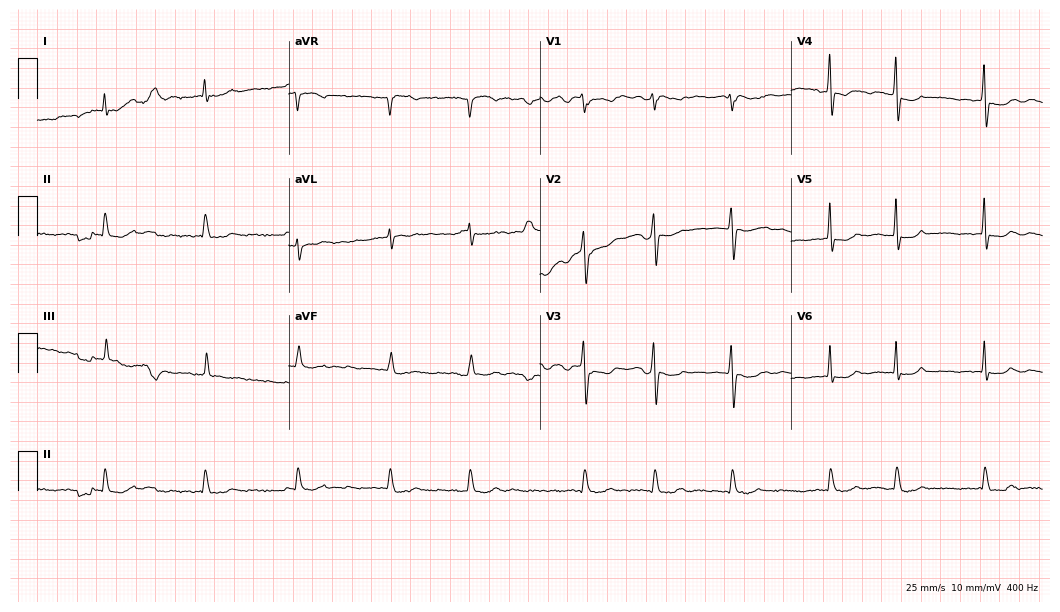
Resting 12-lead electrocardiogram. Patient: a female, 69 years old. The tracing shows atrial fibrillation.